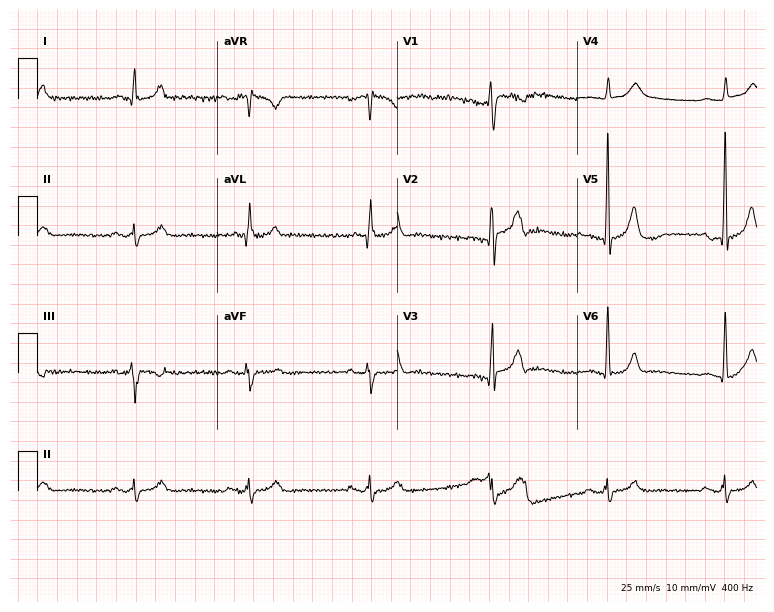
Resting 12-lead electrocardiogram (7.3-second recording at 400 Hz). Patient: a man, 33 years old. Read as a normal ECG.